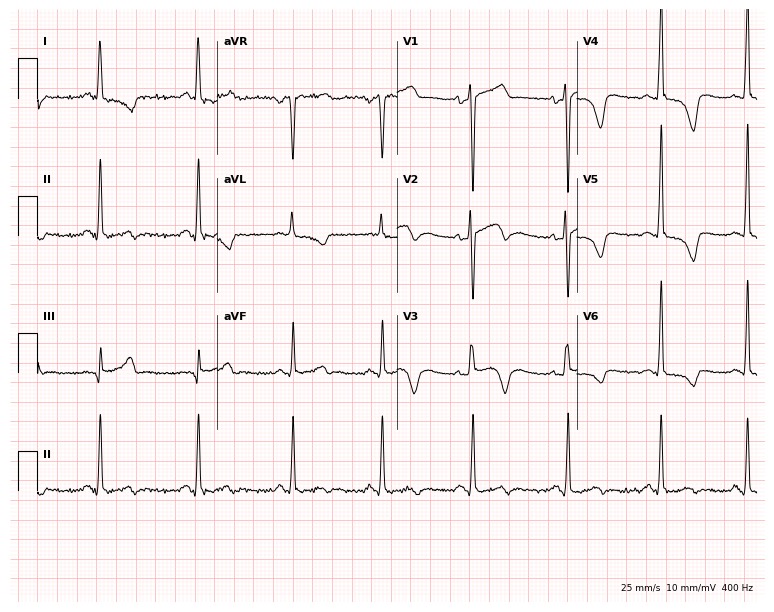
Electrocardiogram, a female patient, 41 years old. Of the six screened findings (first-degree AV block, right bundle branch block, left bundle branch block, sinus bradycardia, atrial fibrillation, sinus tachycardia), none is recorded.